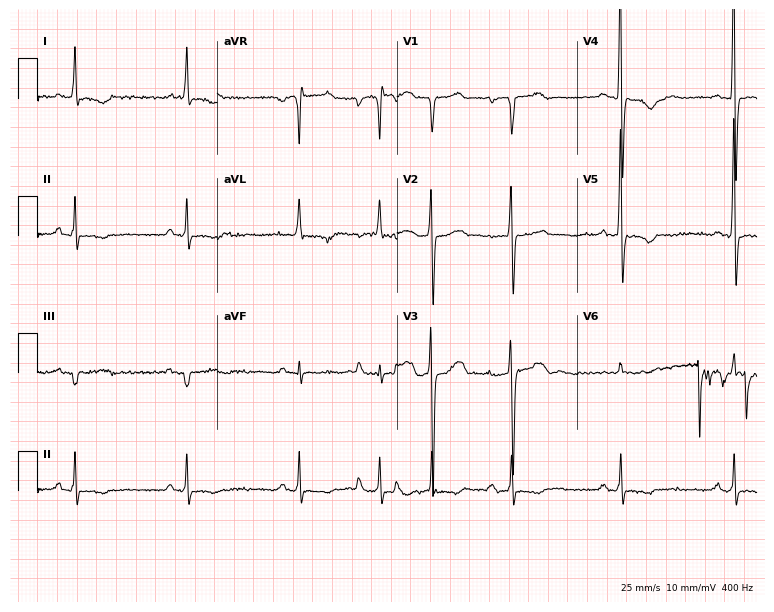
Standard 12-lead ECG recorded from a female, 85 years old. None of these six findings is recorded: first-degree AV block, right bundle branch block, left bundle branch block, sinus bradycardia, atrial fibrillation, sinus tachycardia.